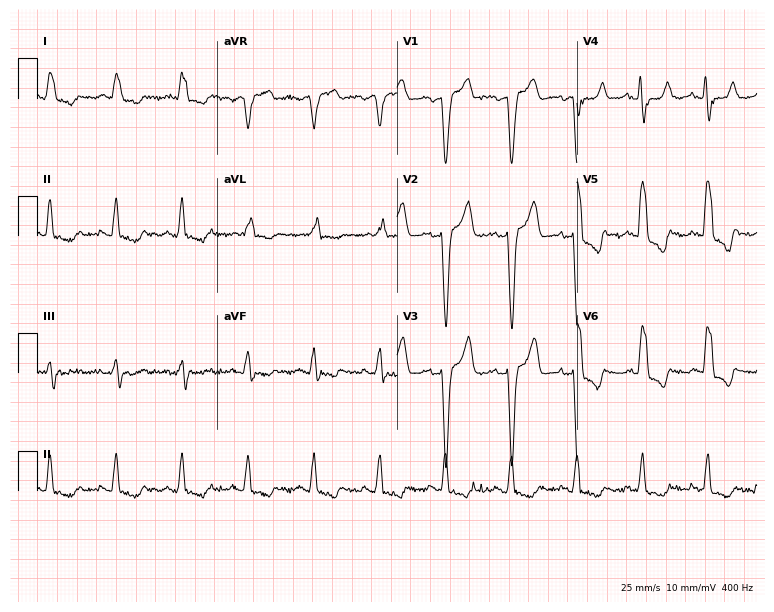
Electrocardiogram (7.3-second recording at 400 Hz), a 74-year-old male patient. Interpretation includes left bundle branch block.